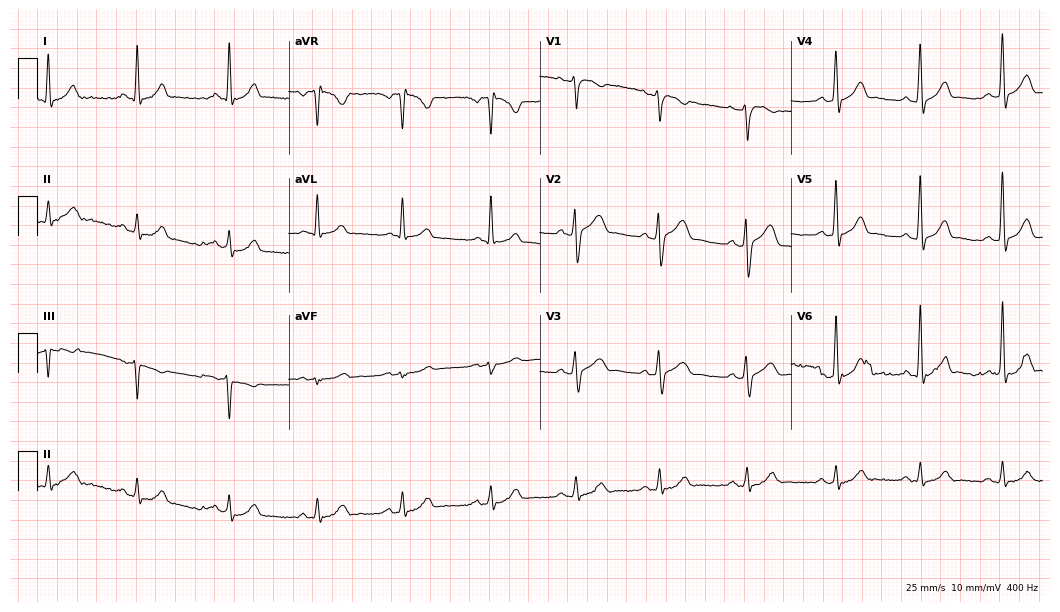
Resting 12-lead electrocardiogram (10.2-second recording at 400 Hz). Patient: a man, 37 years old. None of these six findings is recorded: first-degree AV block, right bundle branch block (RBBB), left bundle branch block (LBBB), sinus bradycardia, atrial fibrillation (AF), sinus tachycardia.